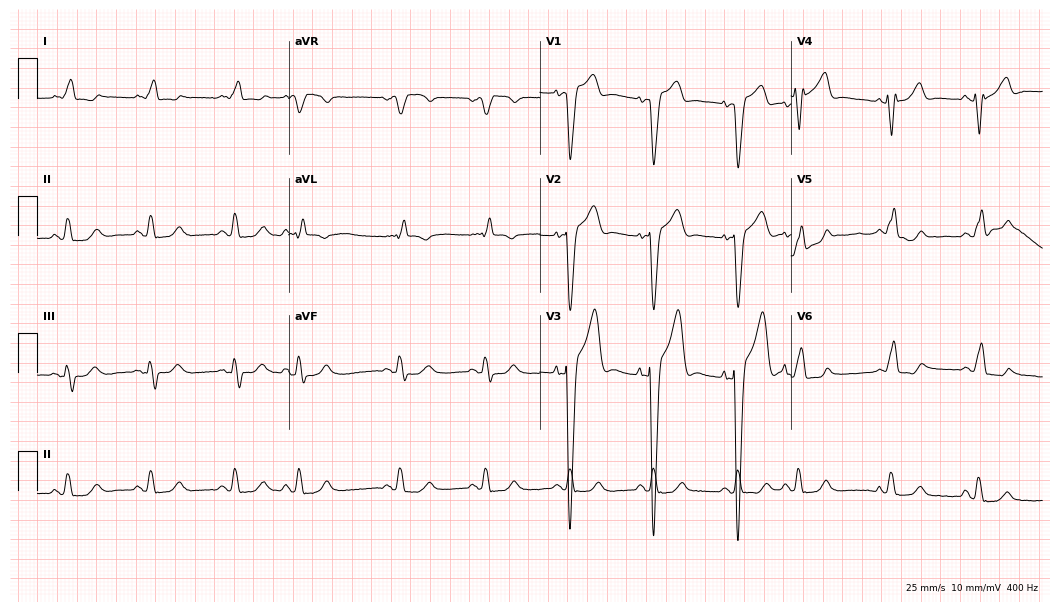
12-lead ECG (10.2-second recording at 400 Hz) from a 71-year-old male patient. Findings include left bundle branch block (LBBB).